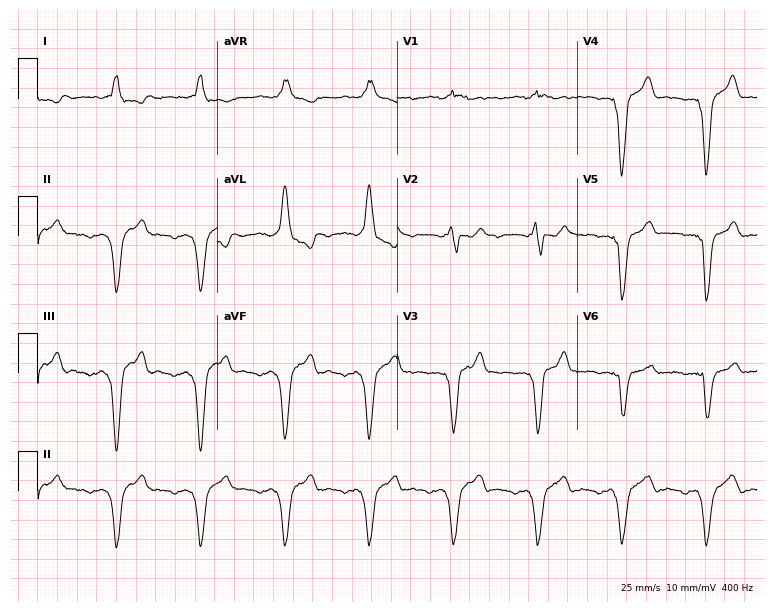
Electrocardiogram, a 67-year-old male patient. Of the six screened findings (first-degree AV block, right bundle branch block, left bundle branch block, sinus bradycardia, atrial fibrillation, sinus tachycardia), none is recorded. Only these six findings were labelled.